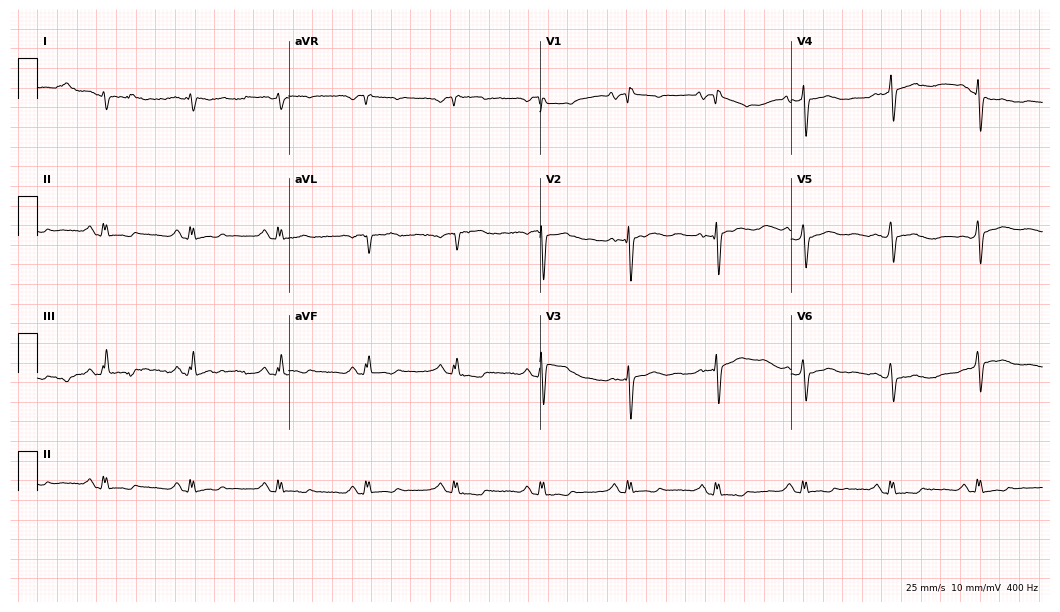
Resting 12-lead electrocardiogram. Patient: a 63-year-old male. None of these six findings is recorded: first-degree AV block, right bundle branch block, left bundle branch block, sinus bradycardia, atrial fibrillation, sinus tachycardia. Other findings, if any, are not listed.